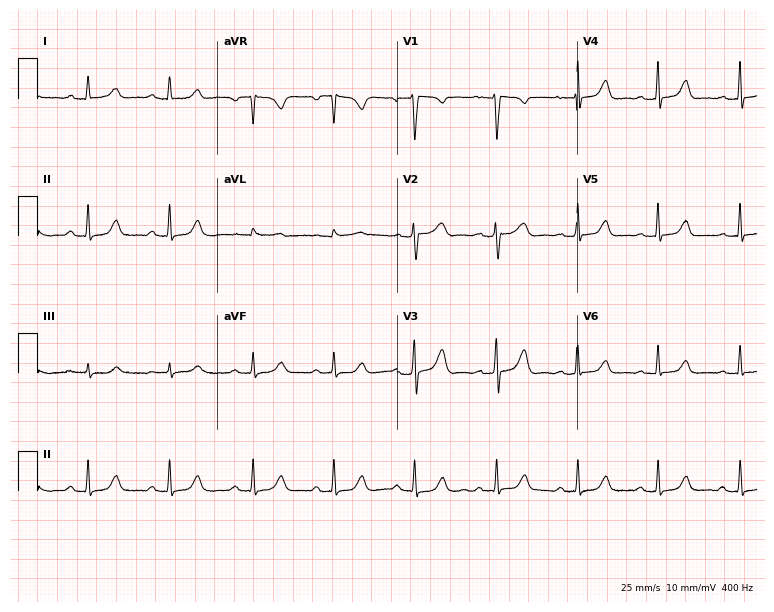
Resting 12-lead electrocardiogram (7.3-second recording at 400 Hz). Patient: a 31-year-old female. None of these six findings is recorded: first-degree AV block, right bundle branch block, left bundle branch block, sinus bradycardia, atrial fibrillation, sinus tachycardia.